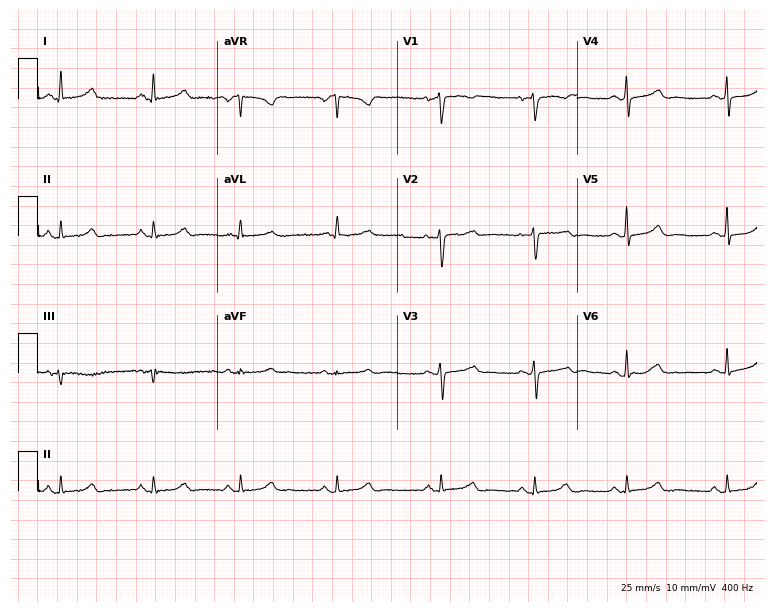
Resting 12-lead electrocardiogram. Patient: a female, 42 years old. Read as a normal ECG.